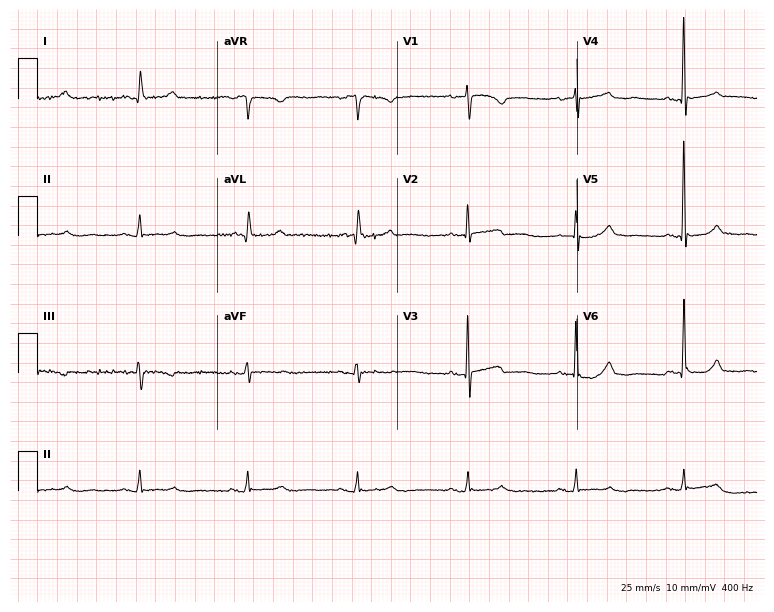
12-lead ECG from a female patient, 80 years old (7.3-second recording at 400 Hz). No first-degree AV block, right bundle branch block, left bundle branch block, sinus bradycardia, atrial fibrillation or sinus tachycardia recorded for this tracing.